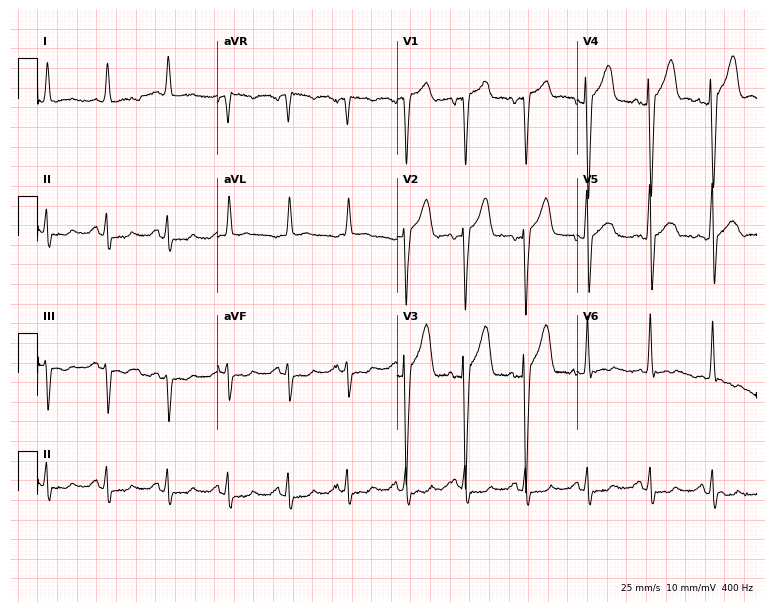
12-lead ECG from a male, 78 years old (7.3-second recording at 400 Hz). Recorded interpretation: within normal limits.